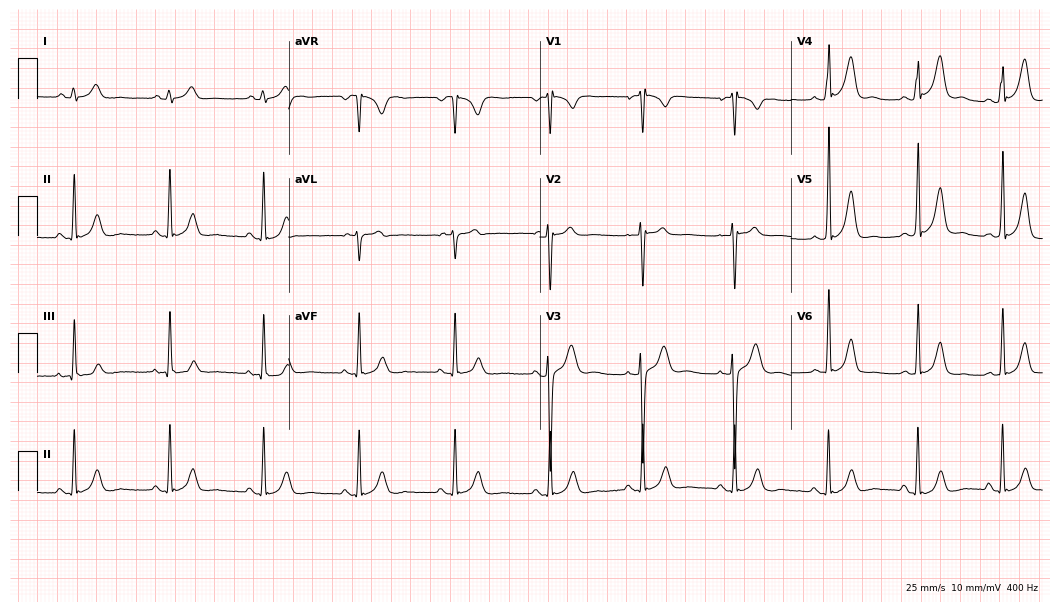
12-lead ECG from a 22-year-old female patient. No first-degree AV block, right bundle branch block, left bundle branch block, sinus bradycardia, atrial fibrillation or sinus tachycardia recorded for this tracing.